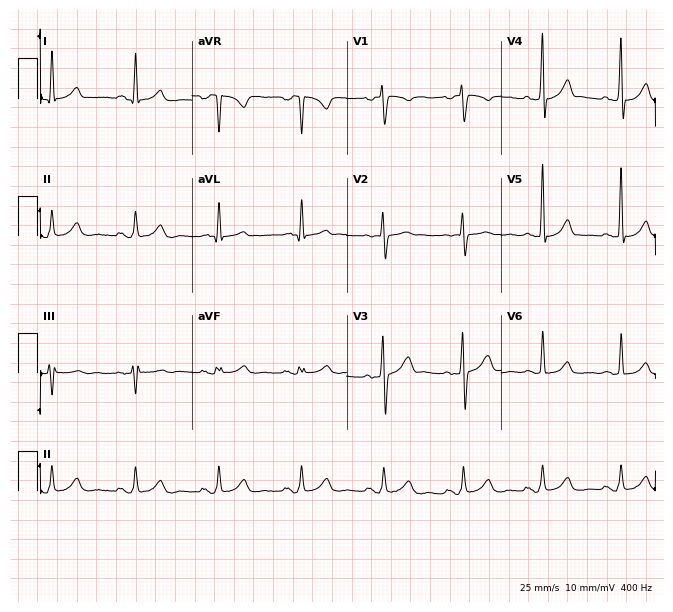
Electrocardiogram (6.3-second recording at 400 Hz), a 53-year-old male. Of the six screened findings (first-degree AV block, right bundle branch block, left bundle branch block, sinus bradycardia, atrial fibrillation, sinus tachycardia), none is recorded. Findings outside these six are not listed.